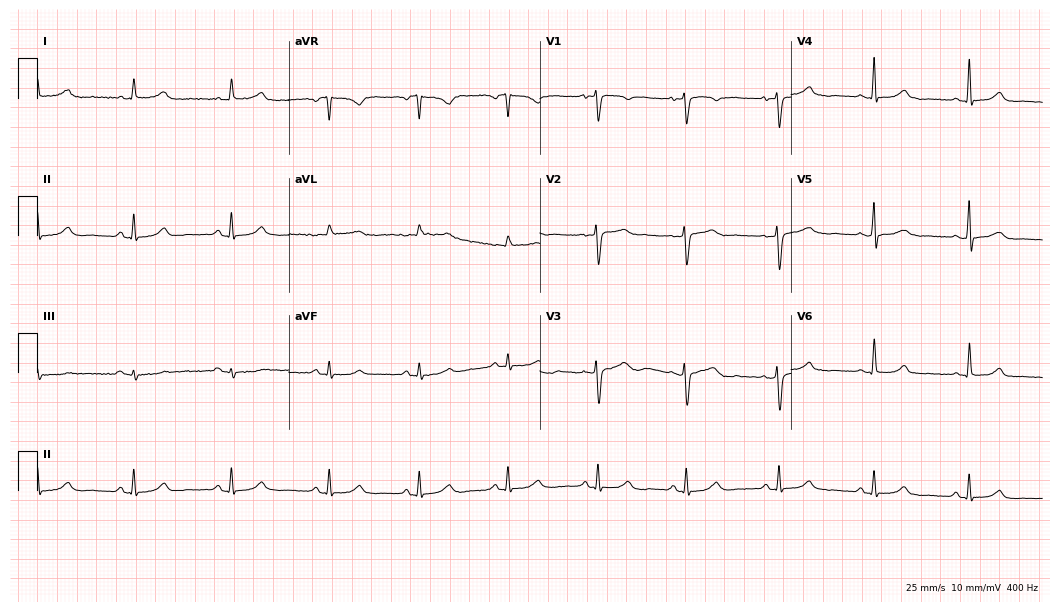
Standard 12-lead ECG recorded from a female patient, 38 years old. Read as a normal ECG.